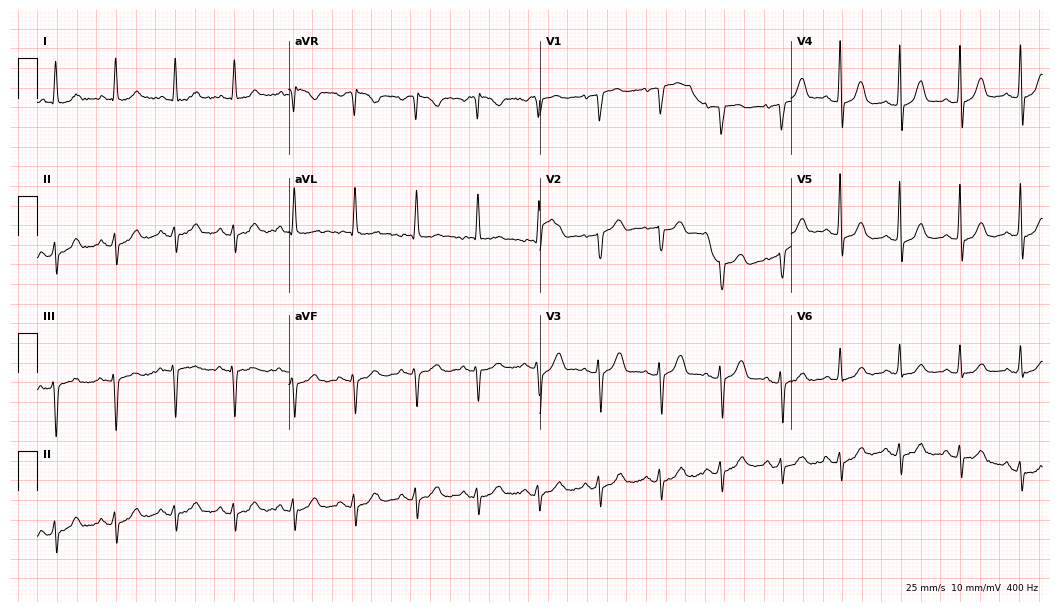
12-lead ECG (10.2-second recording at 400 Hz) from an 81-year-old male. Screened for six findings — first-degree AV block, right bundle branch block, left bundle branch block, sinus bradycardia, atrial fibrillation, sinus tachycardia — none is recorded.